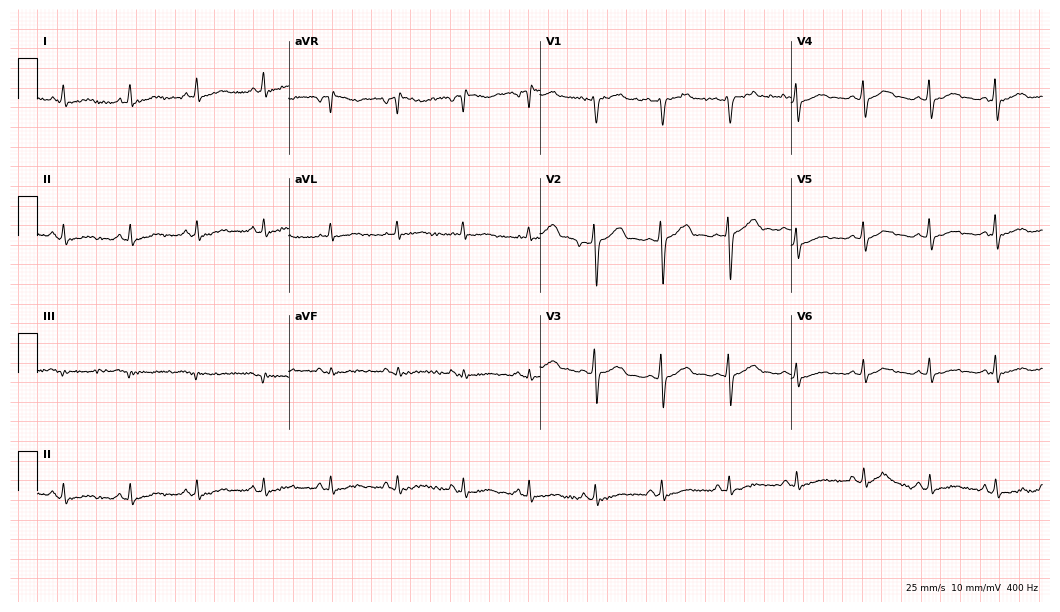
12-lead ECG from a male, 66 years old. Labelled as a normal ECG.